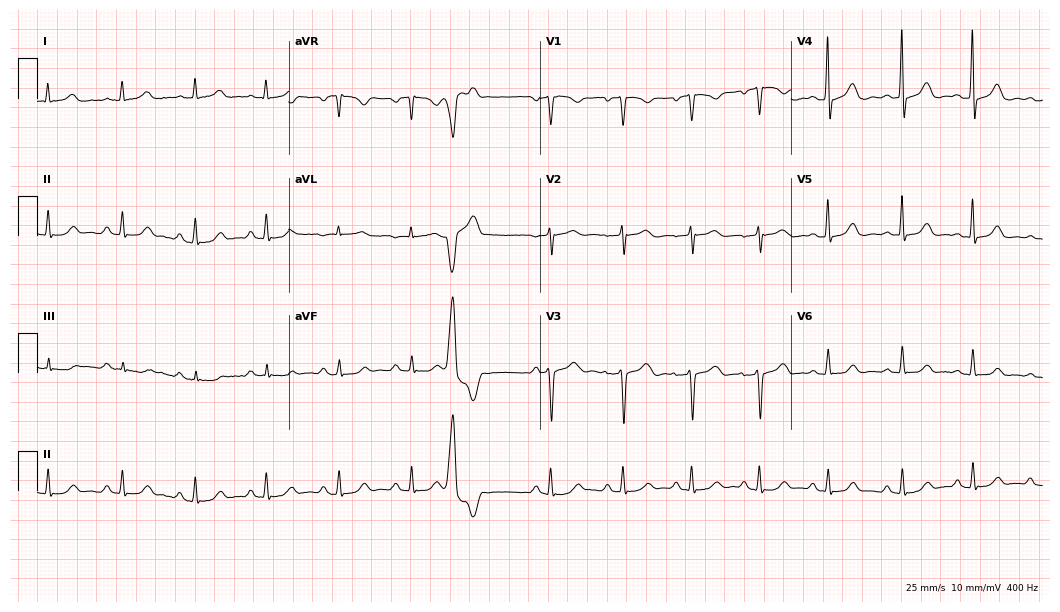
12-lead ECG (10.2-second recording at 400 Hz) from a 43-year-old woman. Screened for six findings — first-degree AV block, right bundle branch block, left bundle branch block, sinus bradycardia, atrial fibrillation, sinus tachycardia — none is recorded. Only these six findings were labelled.